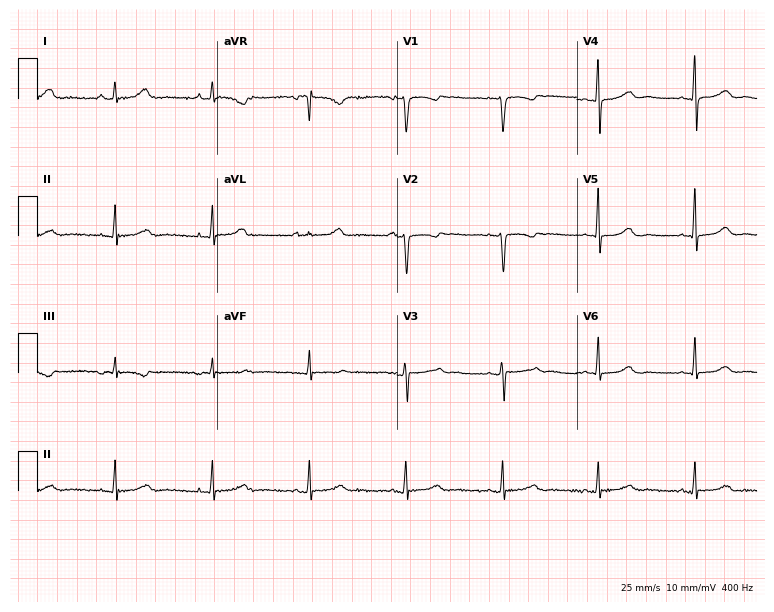
12-lead ECG from a 72-year-old female patient. No first-degree AV block, right bundle branch block, left bundle branch block, sinus bradycardia, atrial fibrillation or sinus tachycardia recorded for this tracing. Other findings, if any, are not listed.